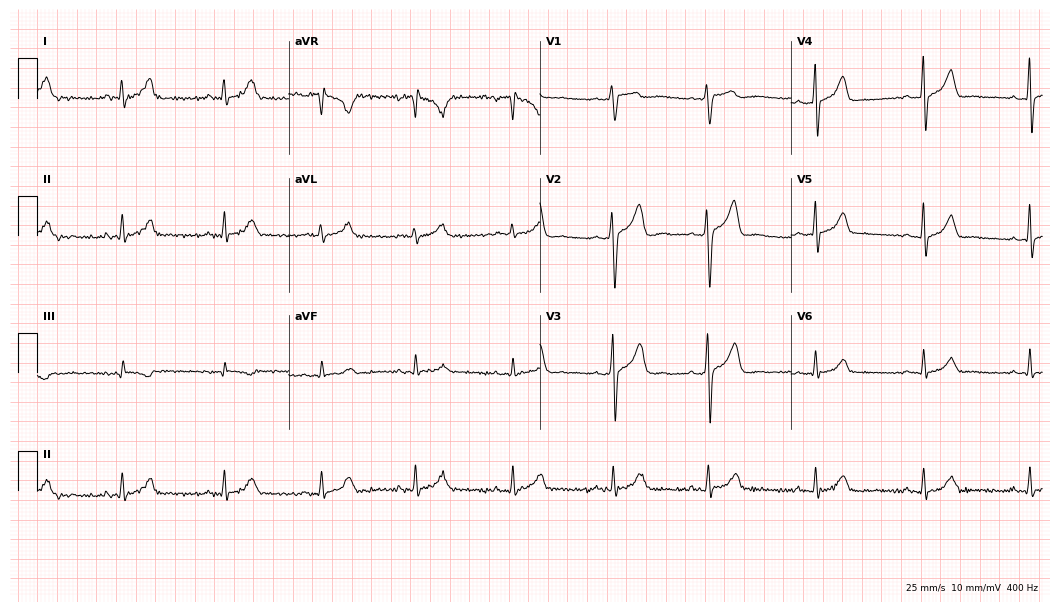
ECG (10.2-second recording at 400 Hz) — a man, 39 years old. Labelled as a normal ECG.